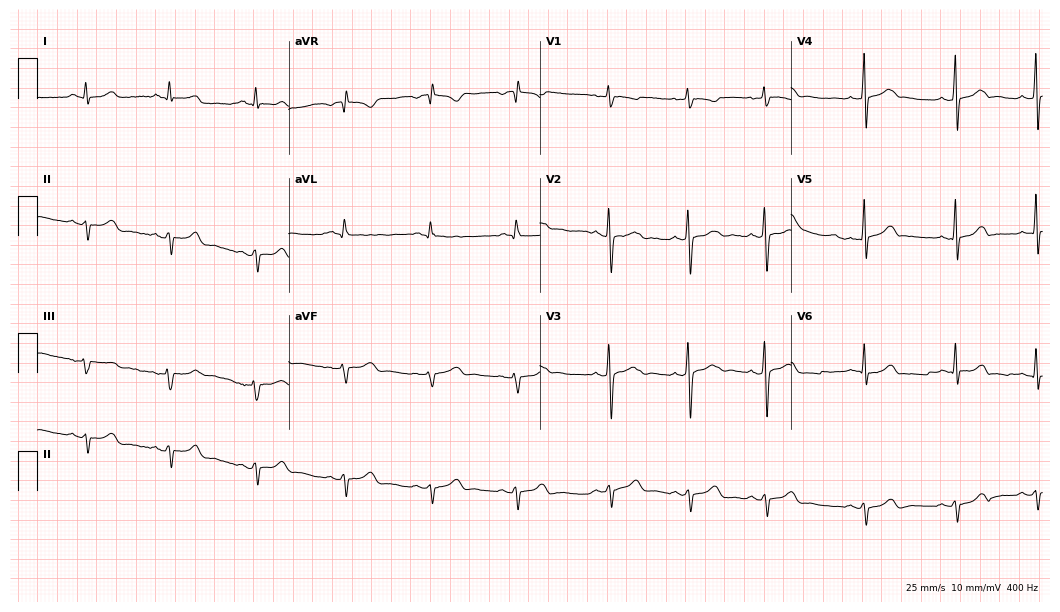
12-lead ECG from a female patient, 19 years old. Screened for six findings — first-degree AV block, right bundle branch block (RBBB), left bundle branch block (LBBB), sinus bradycardia, atrial fibrillation (AF), sinus tachycardia — none is recorded.